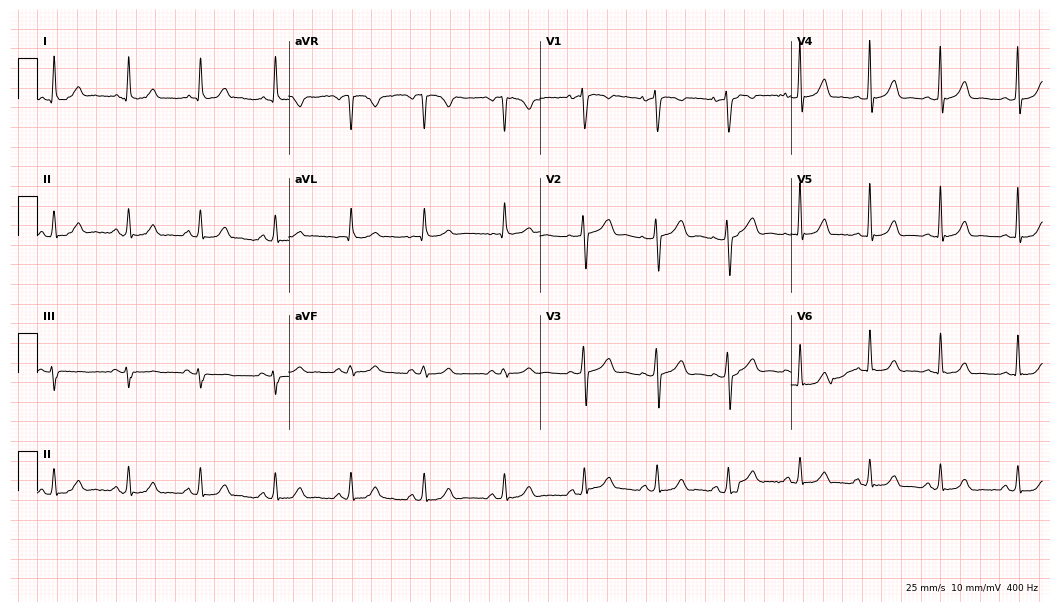
Standard 12-lead ECG recorded from a 28-year-old woman (10.2-second recording at 400 Hz). None of these six findings is recorded: first-degree AV block, right bundle branch block, left bundle branch block, sinus bradycardia, atrial fibrillation, sinus tachycardia.